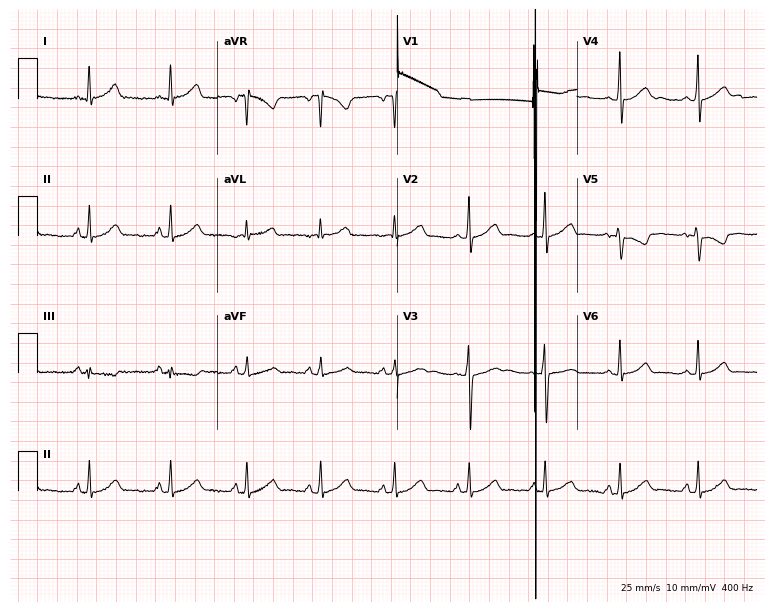
Electrocardiogram (7.3-second recording at 400 Hz), a female, 43 years old. Of the six screened findings (first-degree AV block, right bundle branch block, left bundle branch block, sinus bradycardia, atrial fibrillation, sinus tachycardia), none is recorded.